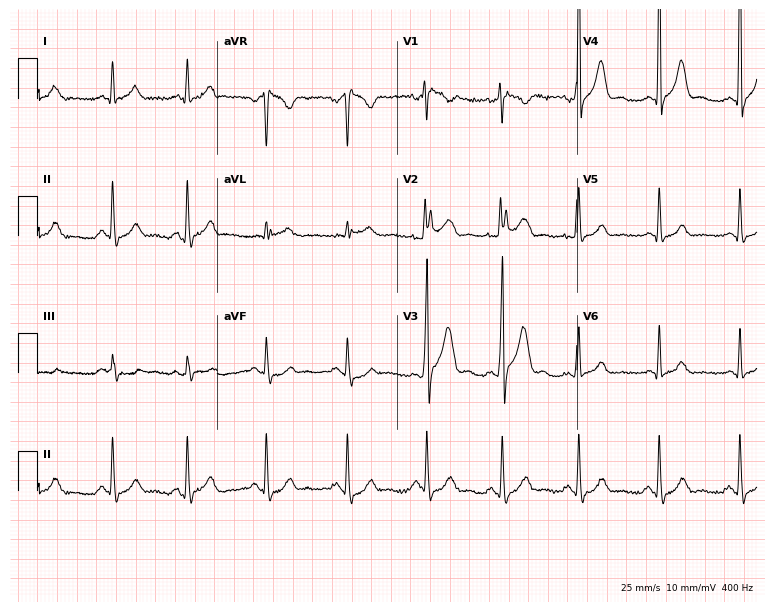
Standard 12-lead ECG recorded from a 35-year-old male patient (7.3-second recording at 400 Hz). Read as a normal ECG.